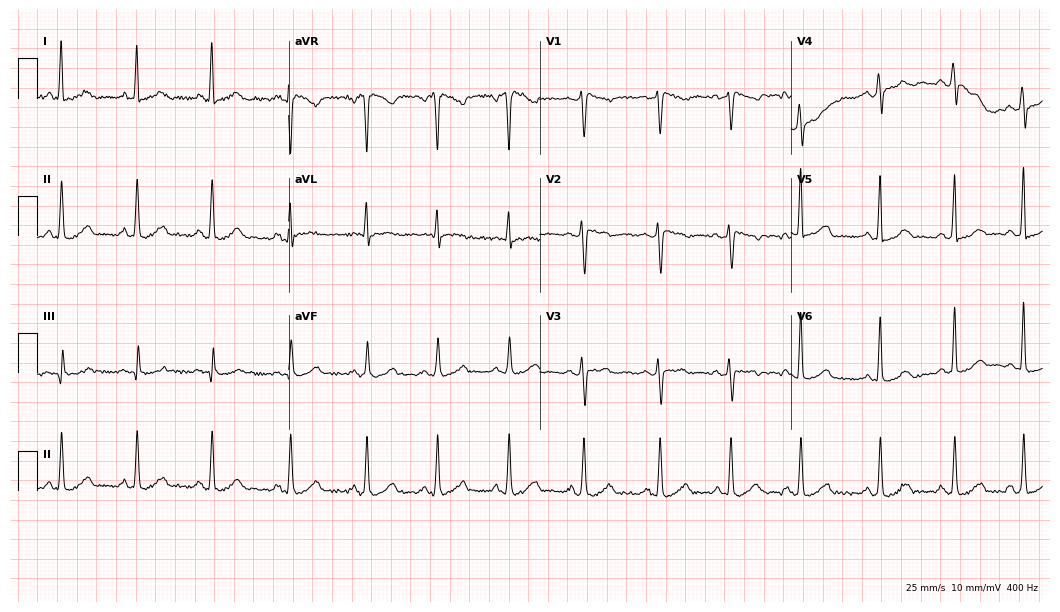
Electrocardiogram, a 72-year-old female patient. Of the six screened findings (first-degree AV block, right bundle branch block, left bundle branch block, sinus bradycardia, atrial fibrillation, sinus tachycardia), none is recorded.